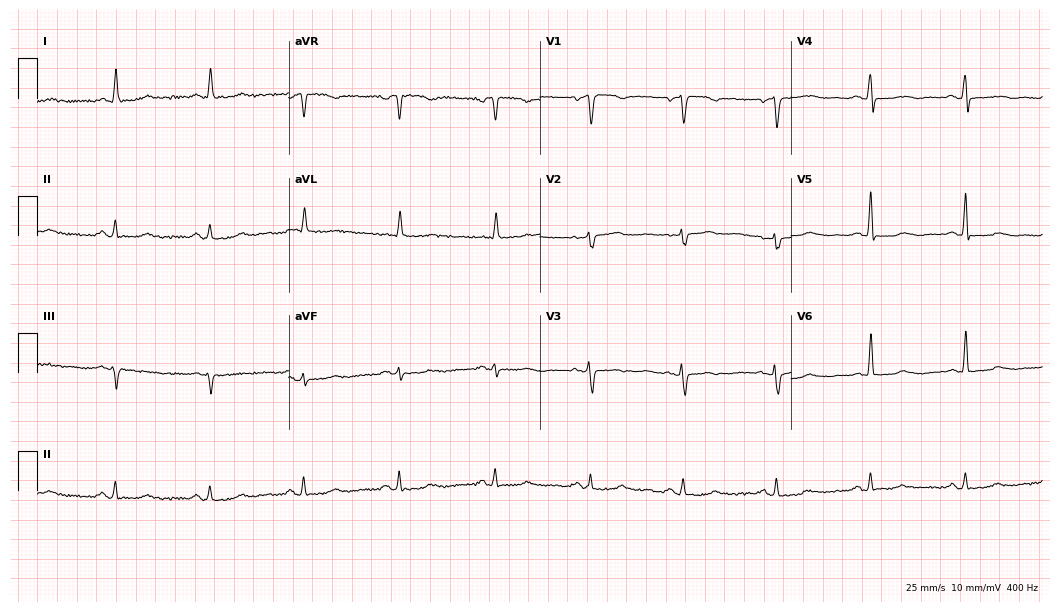
ECG — a female patient, 81 years old. Labelled as a normal ECG.